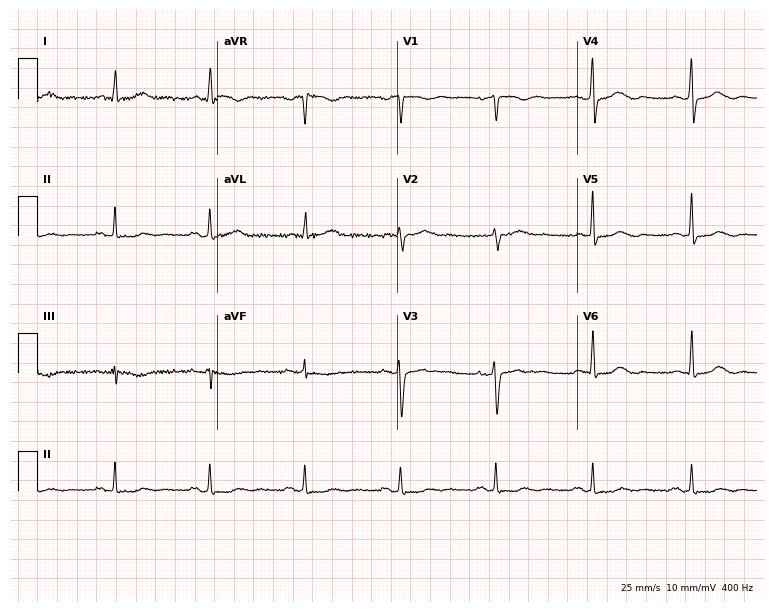
Standard 12-lead ECG recorded from a 59-year-old female patient (7.3-second recording at 400 Hz). None of these six findings is recorded: first-degree AV block, right bundle branch block, left bundle branch block, sinus bradycardia, atrial fibrillation, sinus tachycardia.